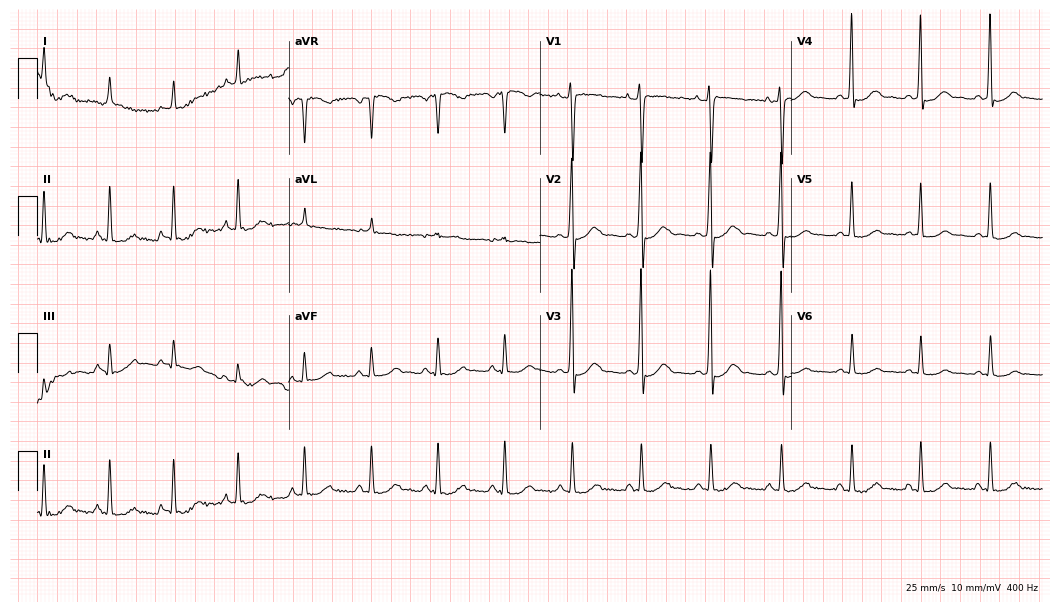
Standard 12-lead ECG recorded from a woman, 23 years old (10.2-second recording at 400 Hz). Read as a normal ECG.